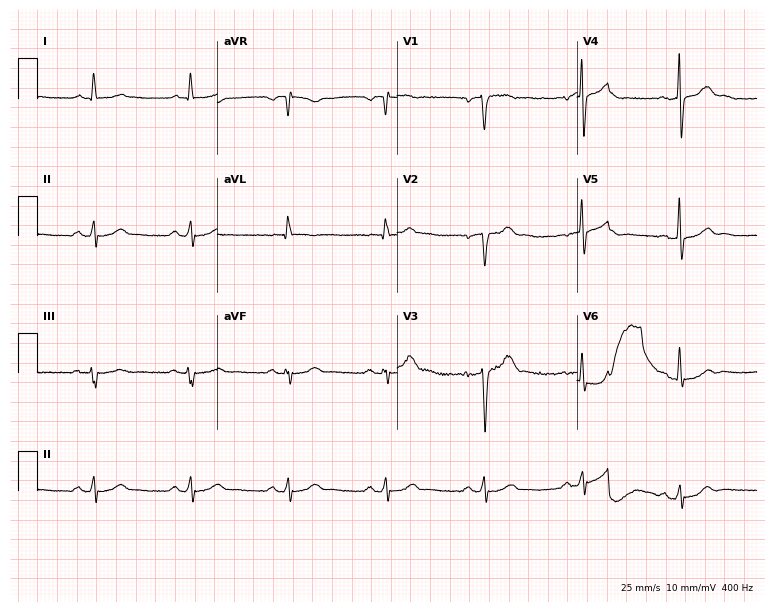
12-lead ECG from a male patient, 54 years old (7.3-second recording at 400 Hz). No first-degree AV block, right bundle branch block, left bundle branch block, sinus bradycardia, atrial fibrillation or sinus tachycardia recorded for this tracing.